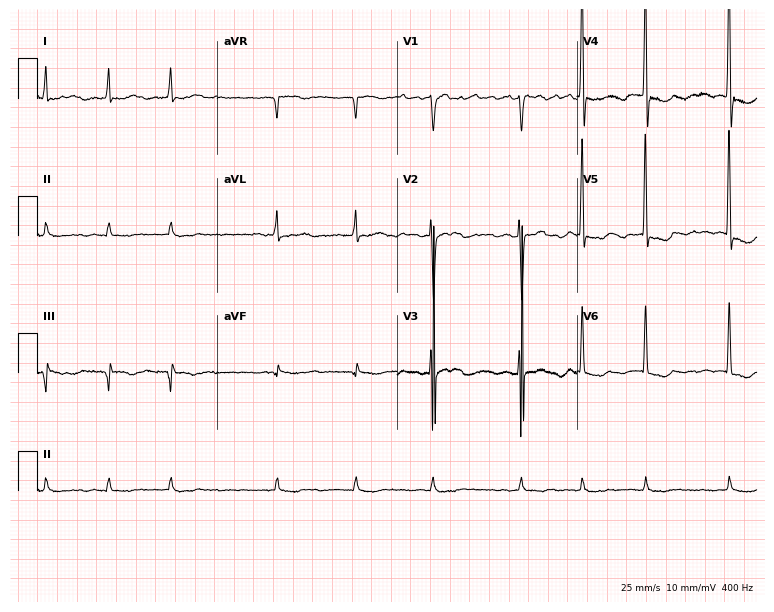
Resting 12-lead electrocardiogram (7.3-second recording at 400 Hz). Patient: a female, 82 years old. The tracing shows atrial fibrillation (AF).